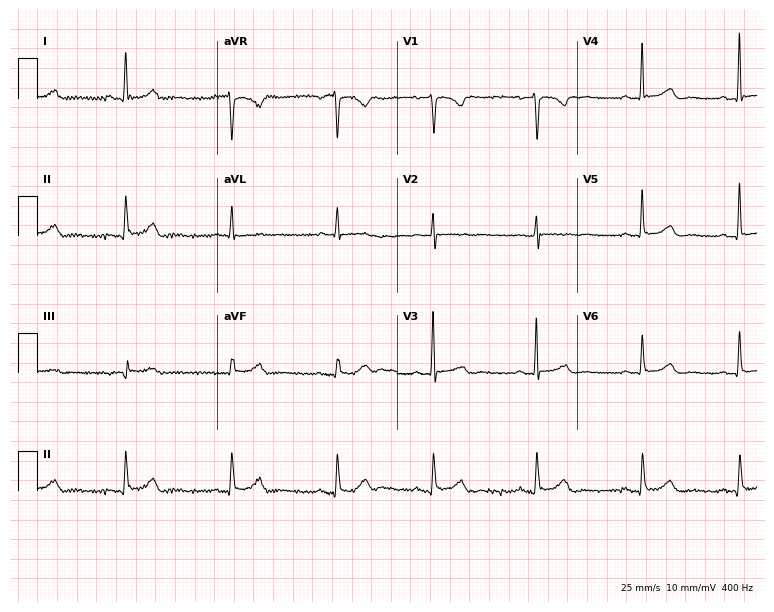
Standard 12-lead ECG recorded from a woman, 61 years old. None of these six findings is recorded: first-degree AV block, right bundle branch block, left bundle branch block, sinus bradycardia, atrial fibrillation, sinus tachycardia. Only these six findings were labelled.